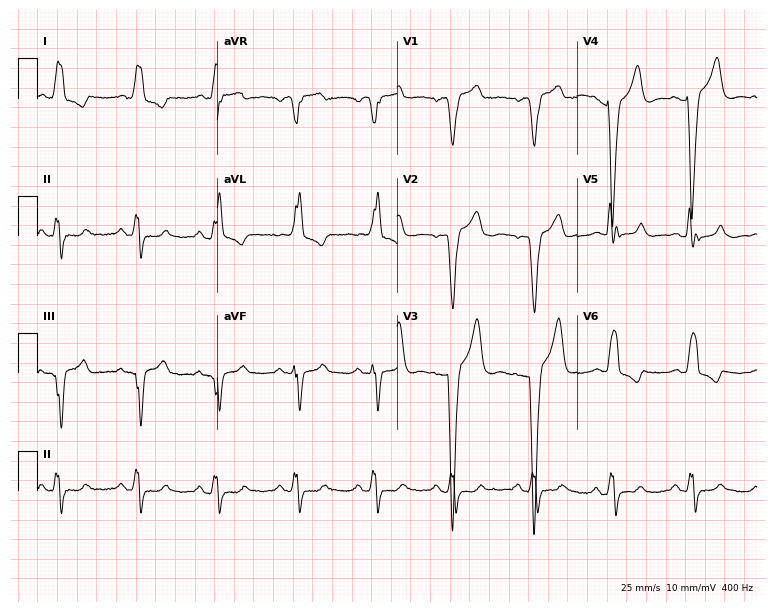
Standard 12-lead ECG recorded from an 82-year-old female. The tracing shows left bundle branch block.